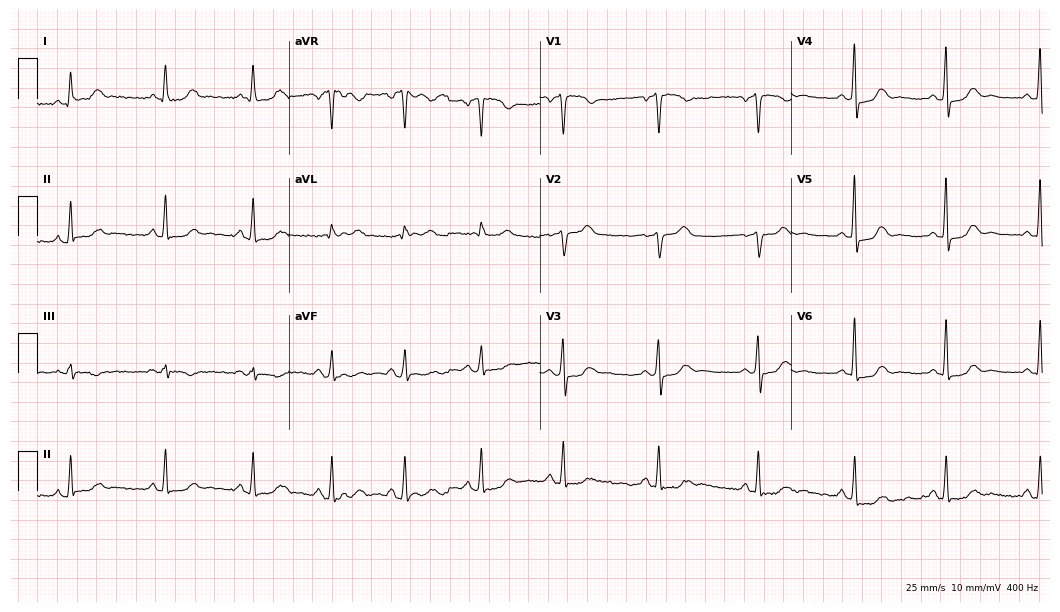
12-lead ECG (10.2-second recording at 400 Hz) from a 54-year-old female patient. Screened for six findings — first-degree AV block, right bundle branch block, left bundle branch block, sinus bradycardia, atrial fibrillation, sinus tachycardia — none is recorded. Only these six findings were labelled.